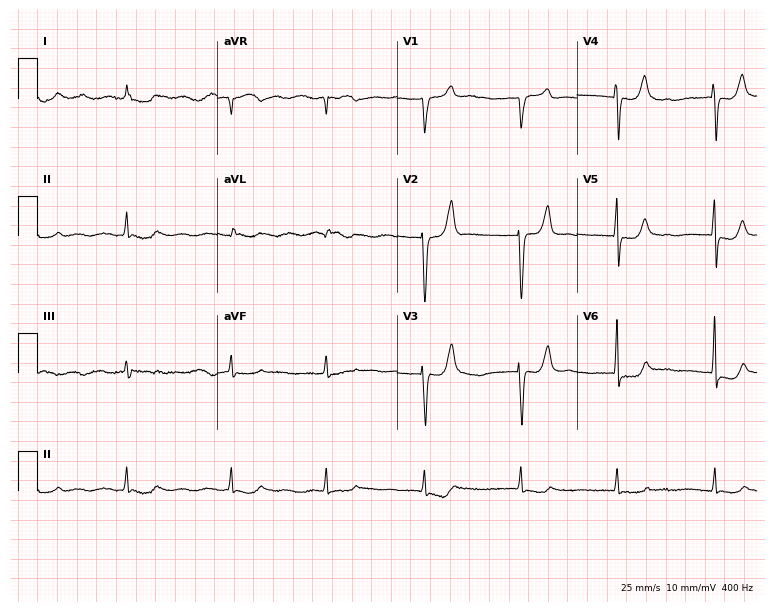
12-lead ECG from an 85-year-old male patient. Screened for six findings — first-degree AV block, right bundle branch block, left bundle branch block, sinus bradycardia, atrial fibrillation, sinus tachycardia — none is recorded. Findings outside these six are not listed.